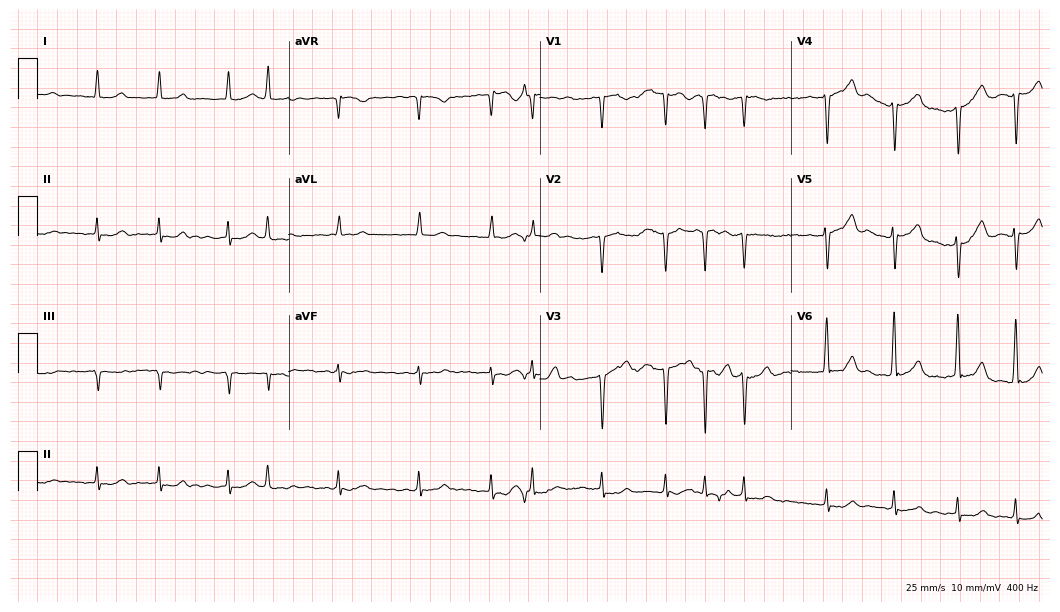
Resting 12-lead electrocardiogram (10.2-second recording at 400 Hz). Patient: a 78-year-old man. The tracing shows atrial fibrillation (AF).